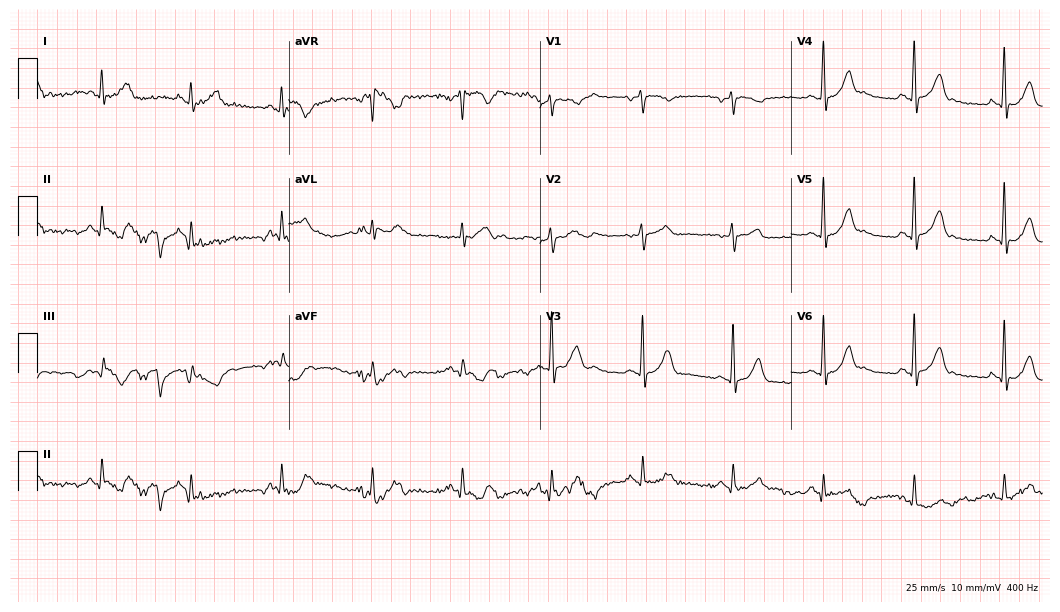
Resting 12-lead electrocardiogram. Patient: a male, 60 years old. None of these six findings is recorded: first-degree AV block, right bundle branch block (RBBB), left bundle branch block (LBBB), sinus bradycardia, atrial fibrillation (AF), sinus tachycardia.